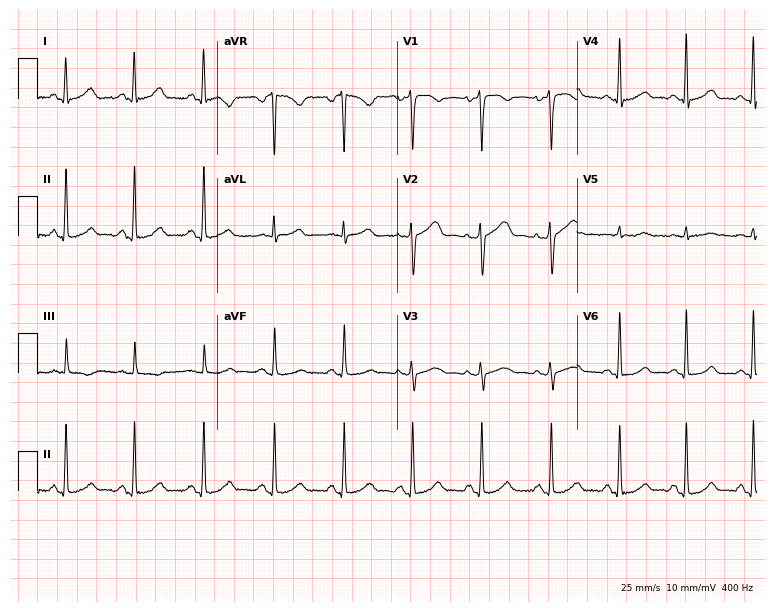
ECG (7.3-second recording at 400 Hz) — a 41-year-old woman. Labelled as a normal ECG.